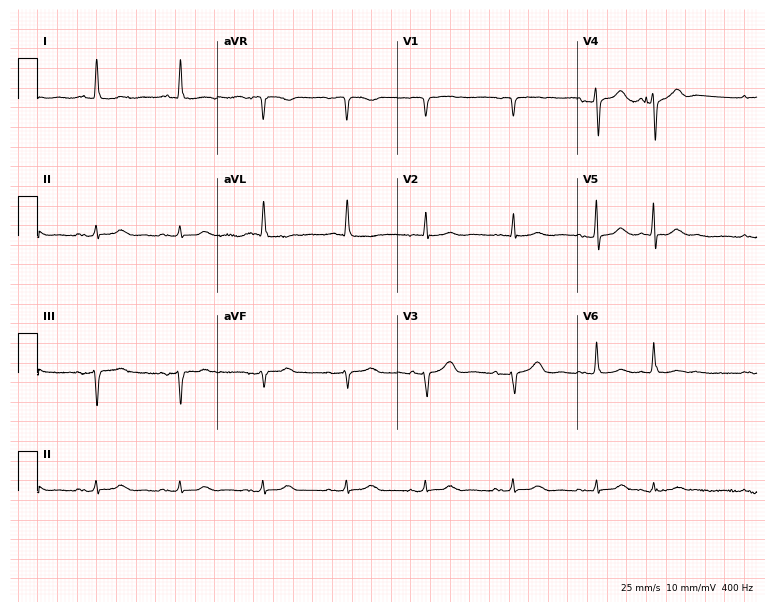
Electrocardiogram, an 85-year-old female. Overall reading on record: normal ECG.